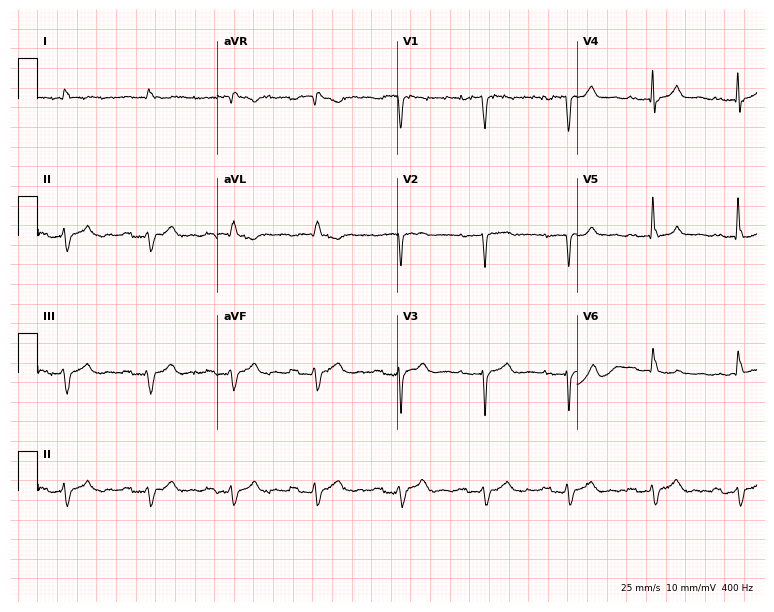
Electrocardiogram, a male, 83 years old. Interpretation includes first-degree AV block.